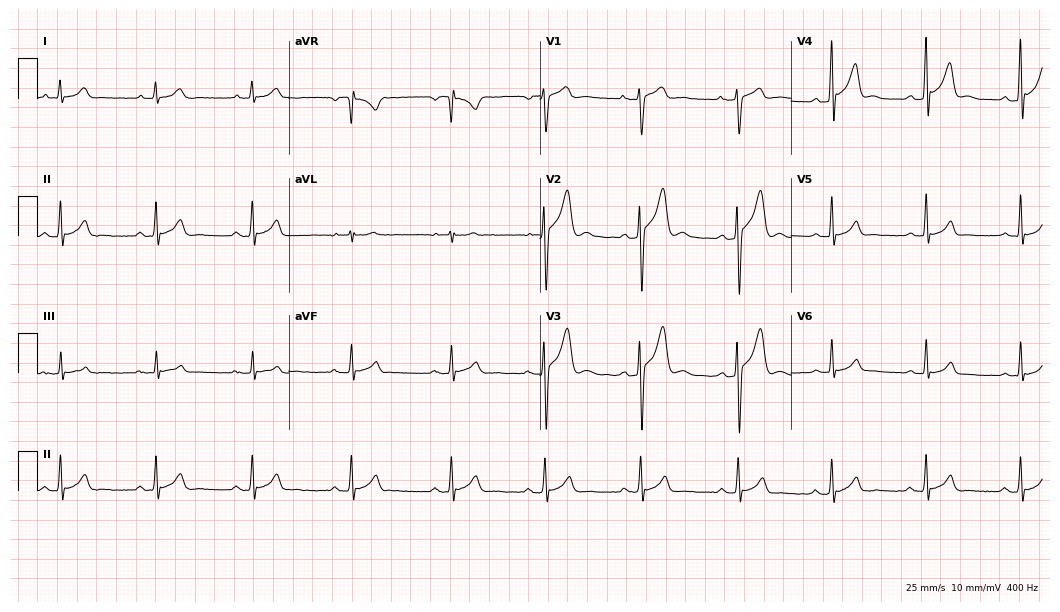
ECG (10.2-second recording at 400 Hz) — an 18-year-old male patient. Screened for six findings — first-degree AV block, right bundle branch block (RBBB), left bundle branch block (LBBB), sinus bradycardia, atrial fibrillation (AF), sinus tachycardia — none is recorded. Findings outside these six are not listed.